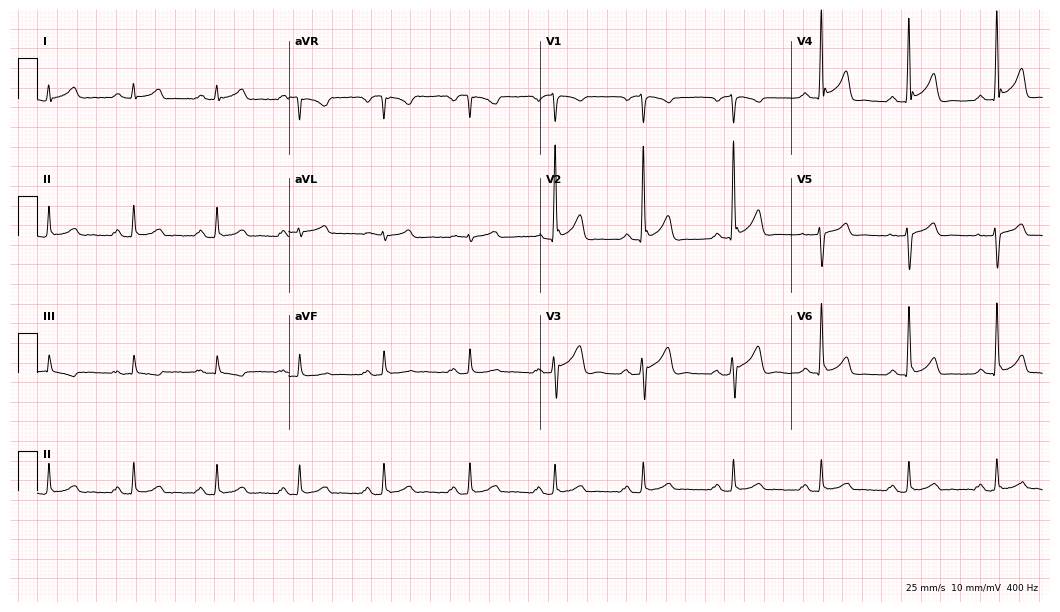
12-lead ECG (10.2-second recording at 400 Hz) from a male, 21 years old. Screened for six findings — first-degree AV block, right bundle branch block (RBBB), left bundle branch block (LBBB), sinus bradycardia, atrial fibrillation (AF), sinus tachycardia — none is recorded. Only these six findings were labelled.